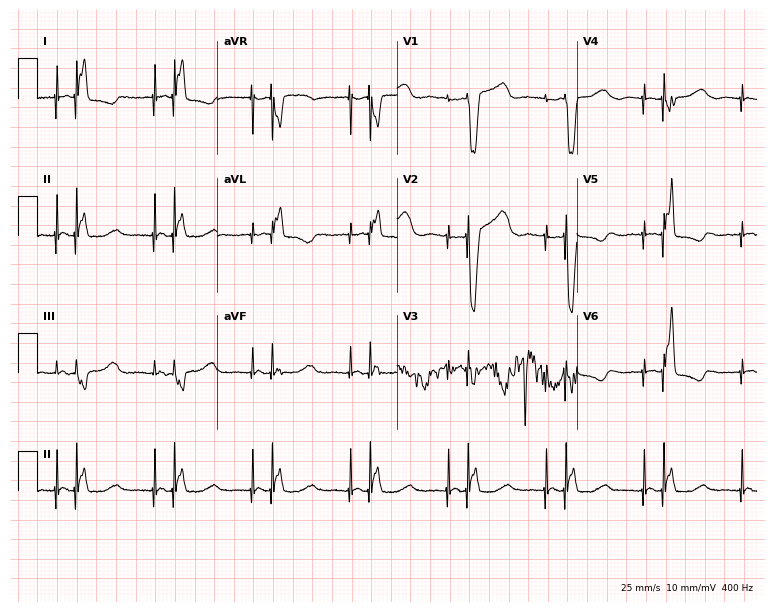
Electrocardiogram, a 72-year-old female. Of the six screened findings (first-degree AV block, right bundle branch block, left bundle branch block, sinus bradycardia, atrial fibrillation, sinus tachycardia), none is recorded. Findings outside these six are not listed.